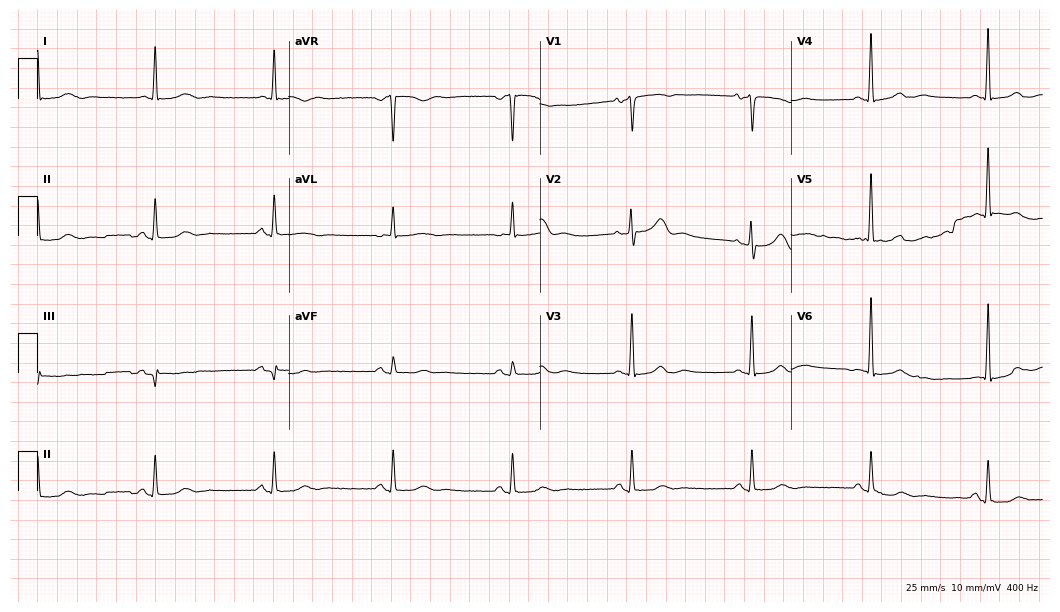
Standard 12-lead ECG recorded from a female, 73 years old (10.2-second recording at 400 Hz). None of these six findings is recorded: first-degree AV block, right bundle branch block (RBBB), left bundle branch block (LBBB), sinus bradycardia, atrial fibrillation (AF), sinus tachycardia. Only these six findings were labelled.